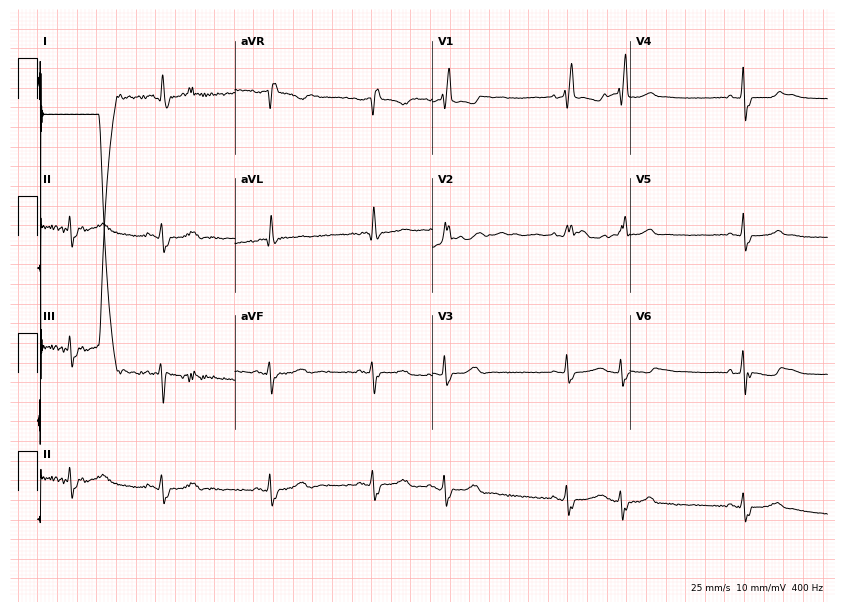
Electrocardiogram, a 78-year-old woman. Interpretation includes right bundle branch block (RBBB), atrial fibrillation (AF).